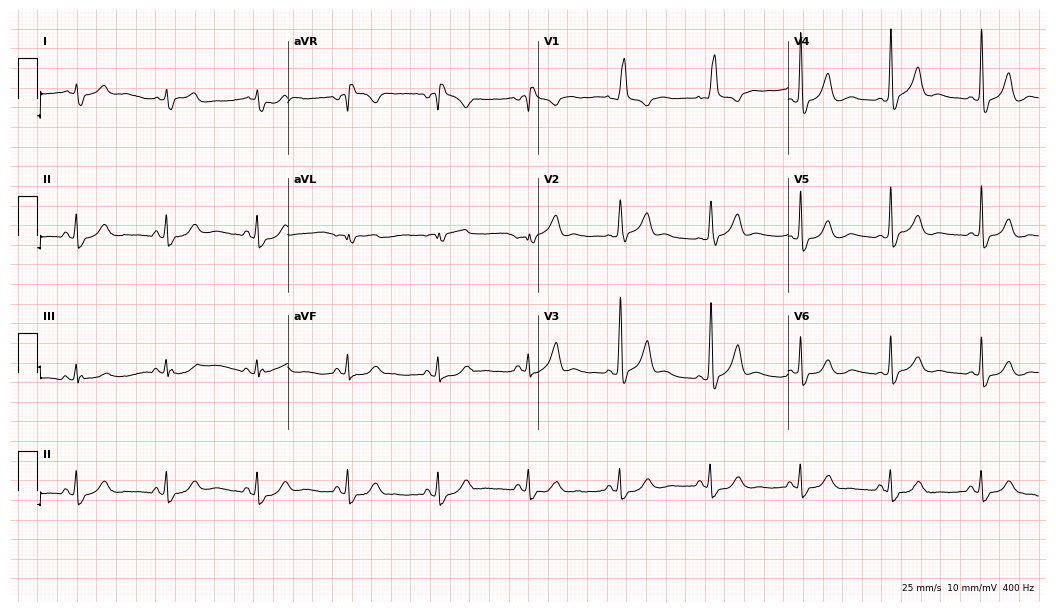
ECG — a 79-year-old man. Findings include right bundle branch block (RBBB).